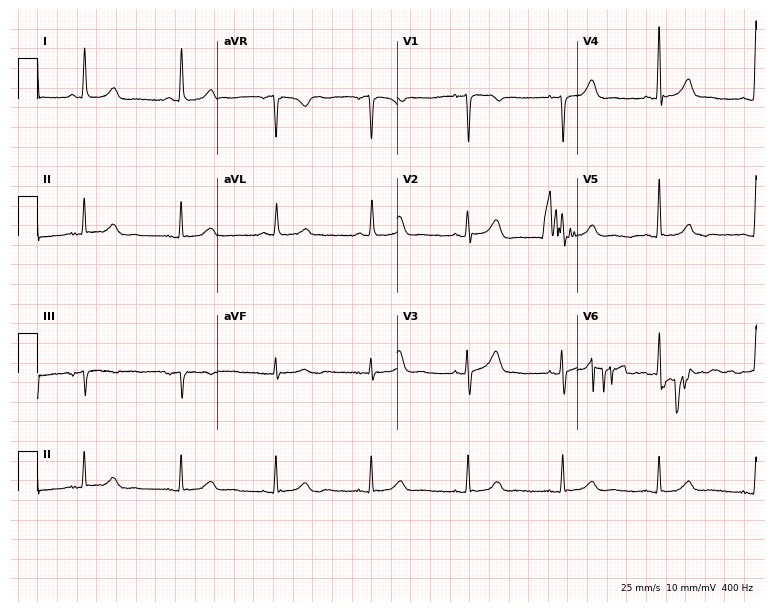
ECG (7.3-second recording at 400 Hz) — a female patient, 52 years old. Labelled as a normal ECG.